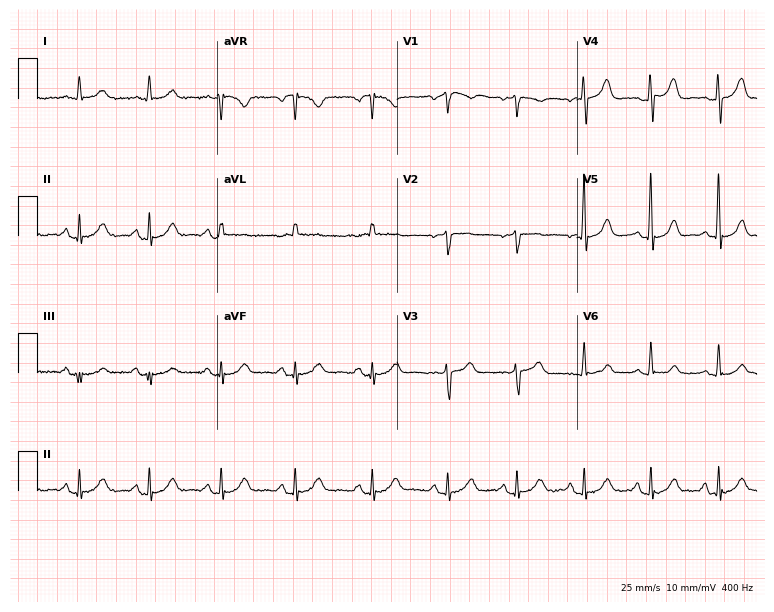
12-lead ECG from a 60-year-old female. Labelled as a normal ECG.